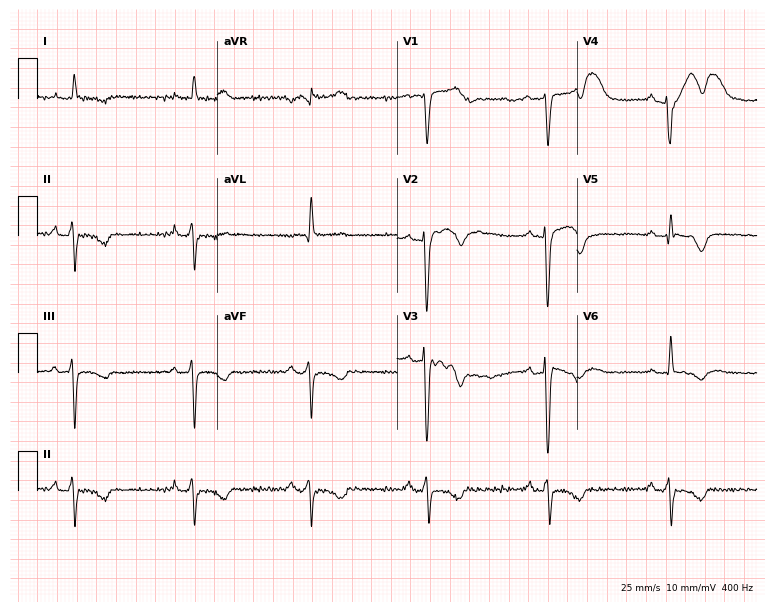
12-lead ECG from a man, 57 years old. No first-degree AV block, right bundle branch block, left bundle branch block, sinus bradycardia, atrial fibrillation or sinus tachycardia recorded for this tracing. Other findings, if any, are not listed.